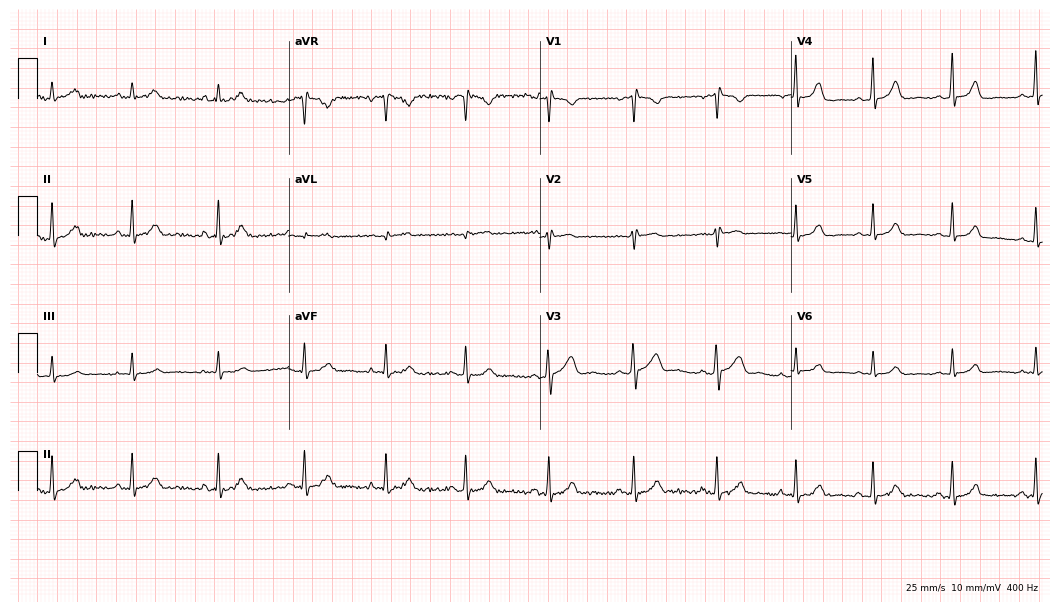
Standard 12-lead ECG recorded from a woman, 33 years old. Read as a normal ECG.